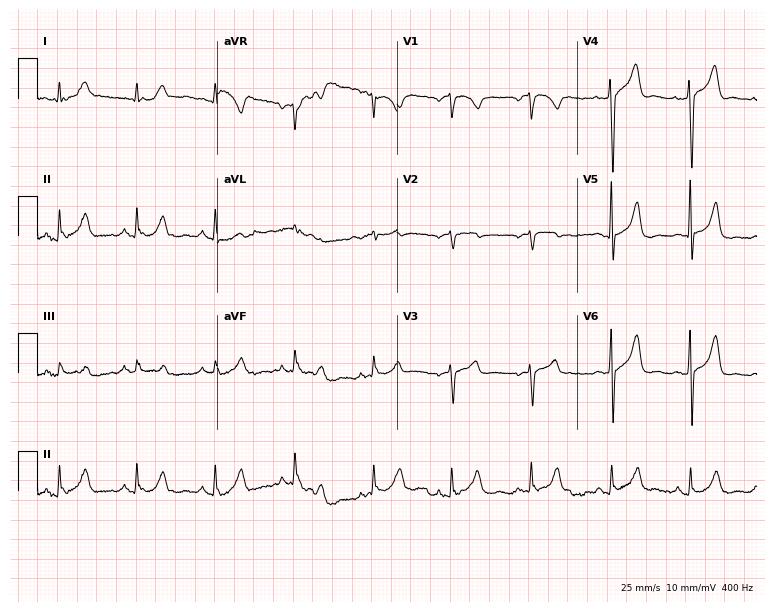
12-lead ECG from a 48-year-old female. Screened for six findings — first-degree AV block, right bundle branch block, left bundle branch block, sinus bradycardia, atrial fibrillation, sinus tachycardia — none is recorded. Other findings, if any, are not listed.